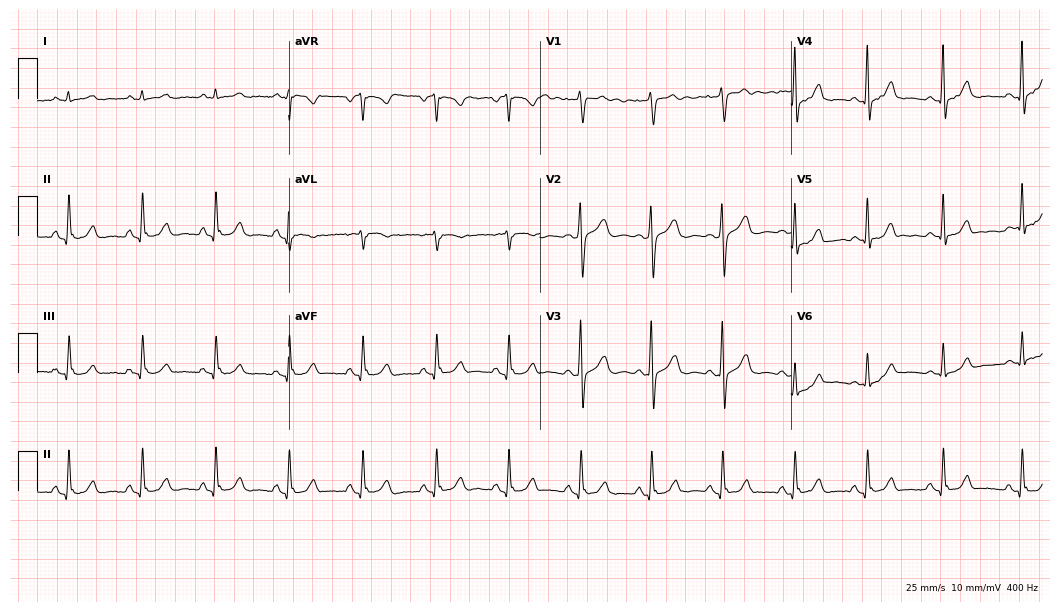
Standard 12-lead ECG recorded from a 57-year-old woman (10.2-second recording at 400 Hz). Read as a normal ECG.